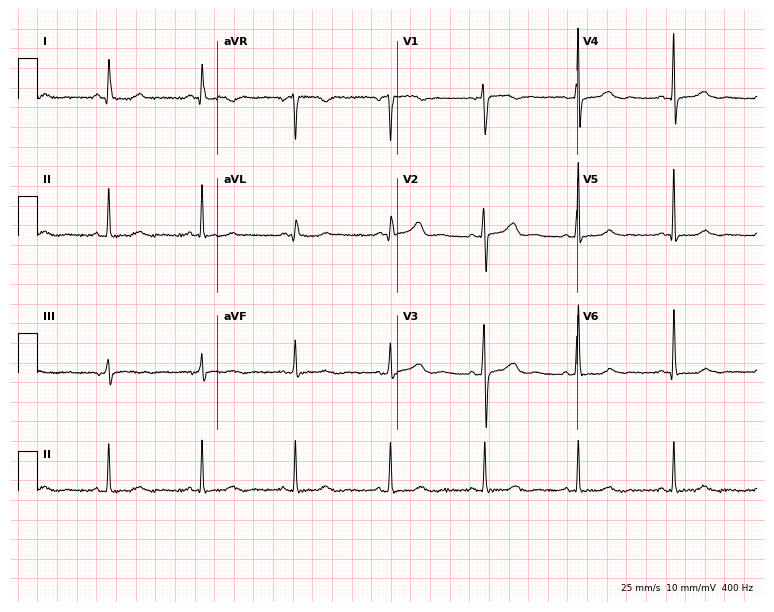
12-lead ECG from a 57-year-old woman (7.3-second recording at 400 Hz). Recorded interpretation: within normal limits.